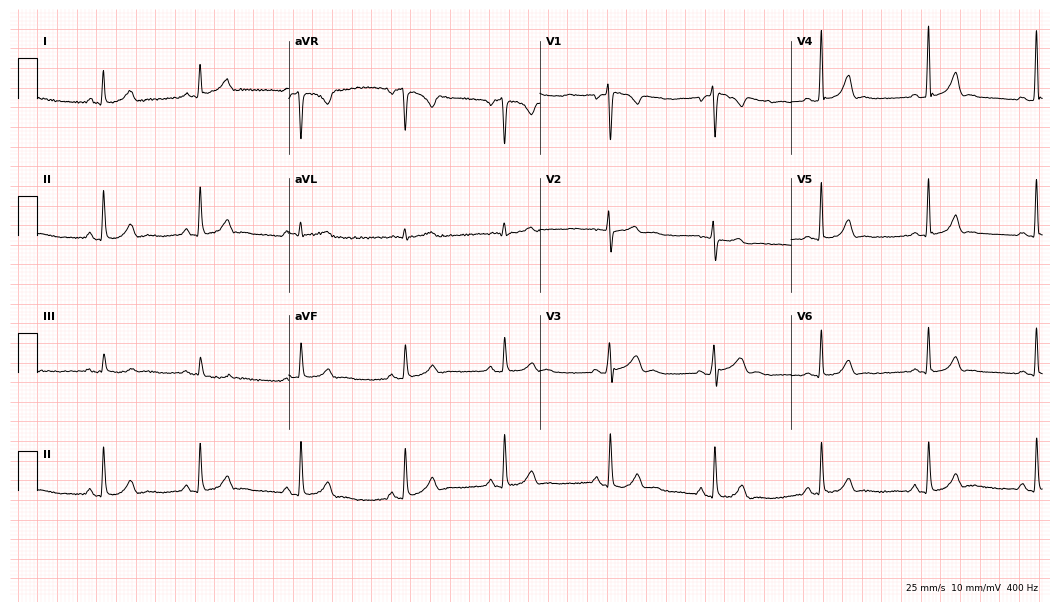
Electrocardiogram, a woman, 25 years old. Overall reading on record: normal ECG.